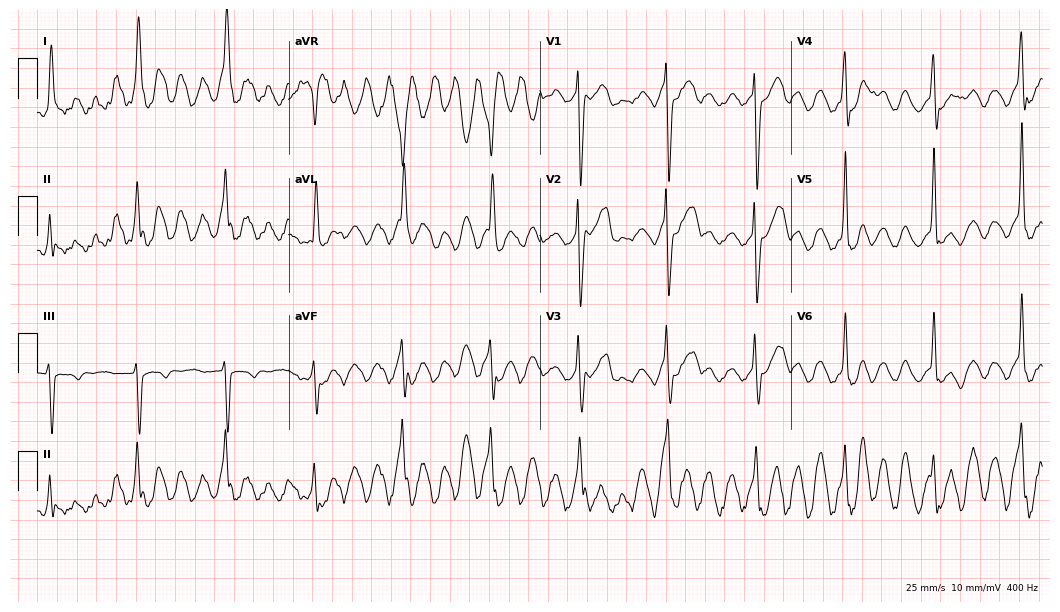
12-lead ECG from a 78-year-old man. No first-degree AV block, right bundle branch block, left bundle branch block, sinus bradycardia, atrial fibrillation or sinus tachycardia recorded for this tracing.